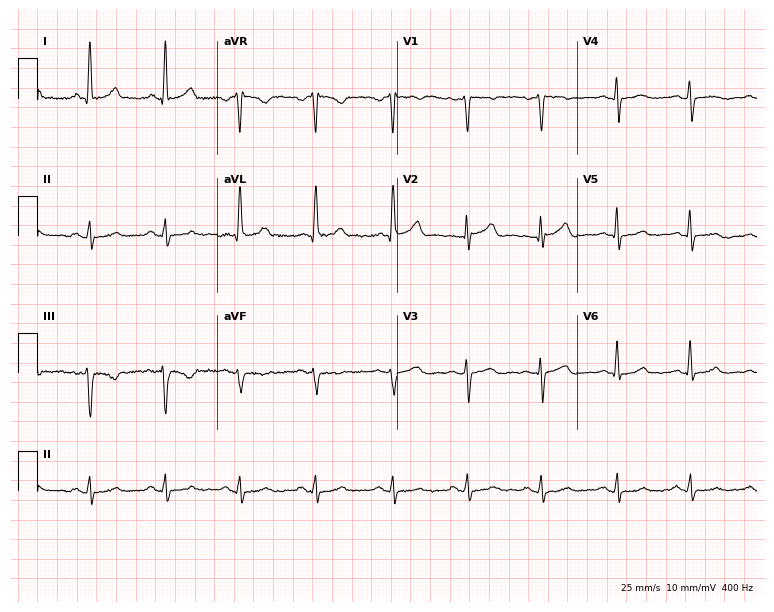
12-lead ECG from a male, 54 years old. Screened for six findings — first-degree AV block, right bundle branch block, left bundle branch block, sinus bradycardia, atrial fibrillation, sinus tachycardia — none is recorded.